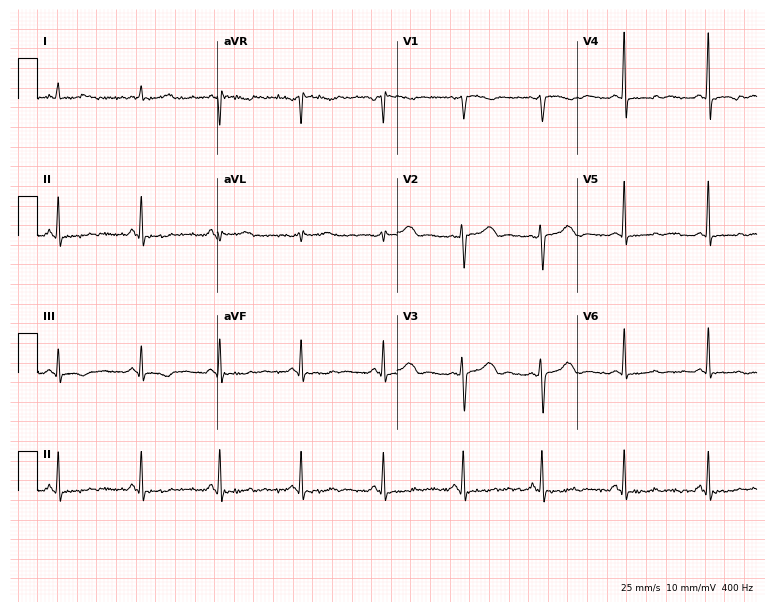
Standard 12-lead ECG recorded from a female, 51 years old. None of these six findings is recorded: first-degree AV block, right bundle branch block (RBBB), left bundle branch block (LBBB), sinus bradycardia, atrial fibrillation (AF), sinus tachycardia. Other findings, if any, are not listed.